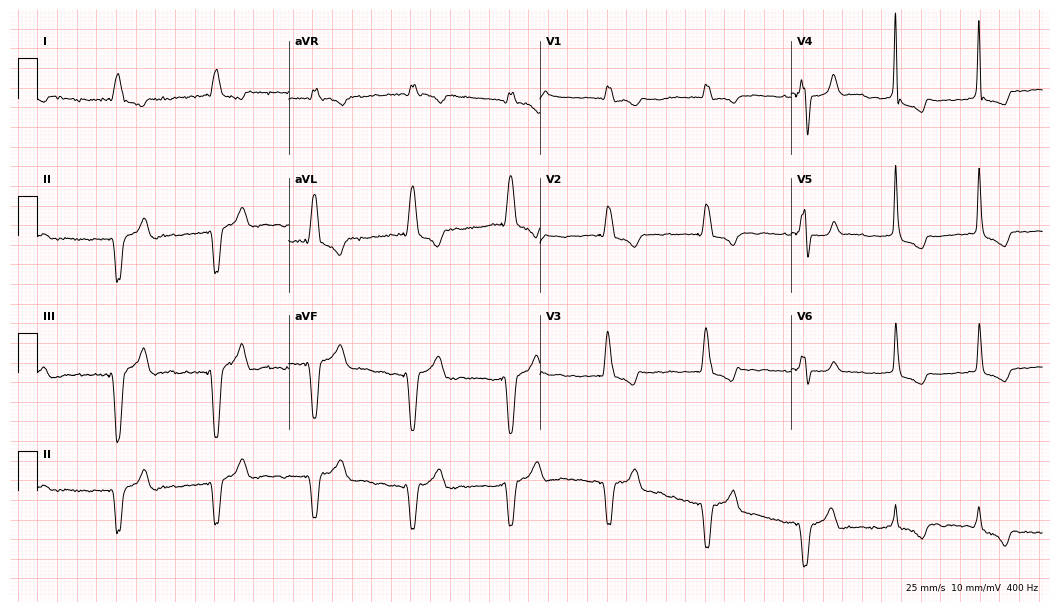
Electrocardiogram, a 79-year-old male. Of the six screened findings (first-degree AV block, right bundle branch block, left bundle branch block, sinus bradycardia, atrial fibrillation, sinus tachycardia), none is recorded.